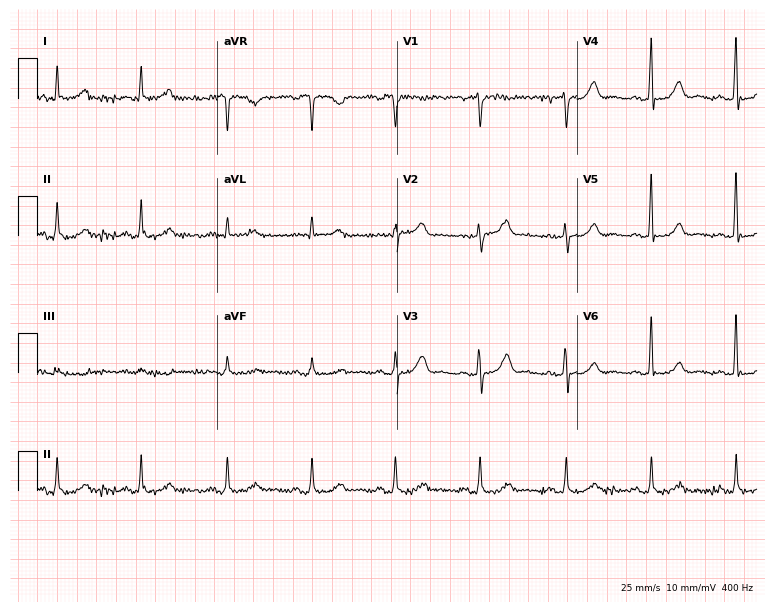
Resting 12-lead electrocardiogram. Patient: a 66-year-old female. Read as a normal ECG.